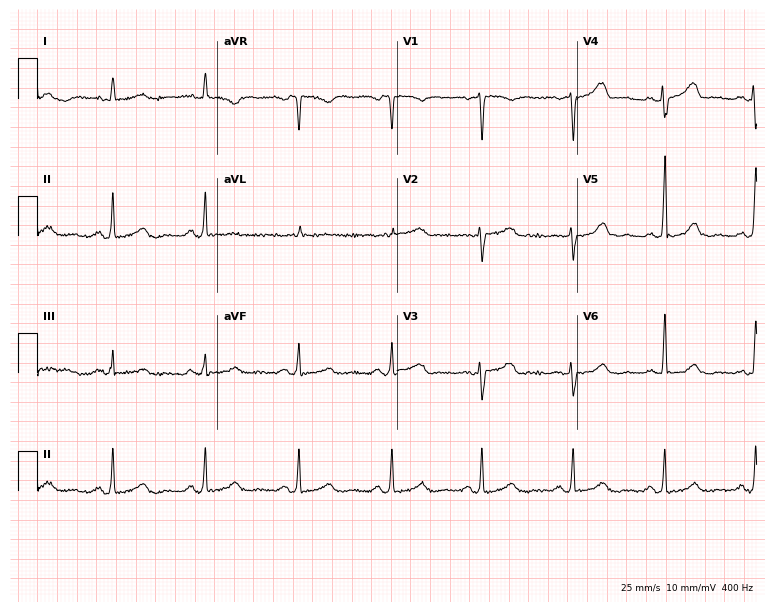
12-lead ECG from a 56-year-old female (7.3-second recording at 400 Hz). No first-degree AV block, right bundle branch block (RBBB), left bundle branch block (LBBB), sinus bradycardia, atrial fibrillation (AF) or sinus tachycardia recorded for this tracing.